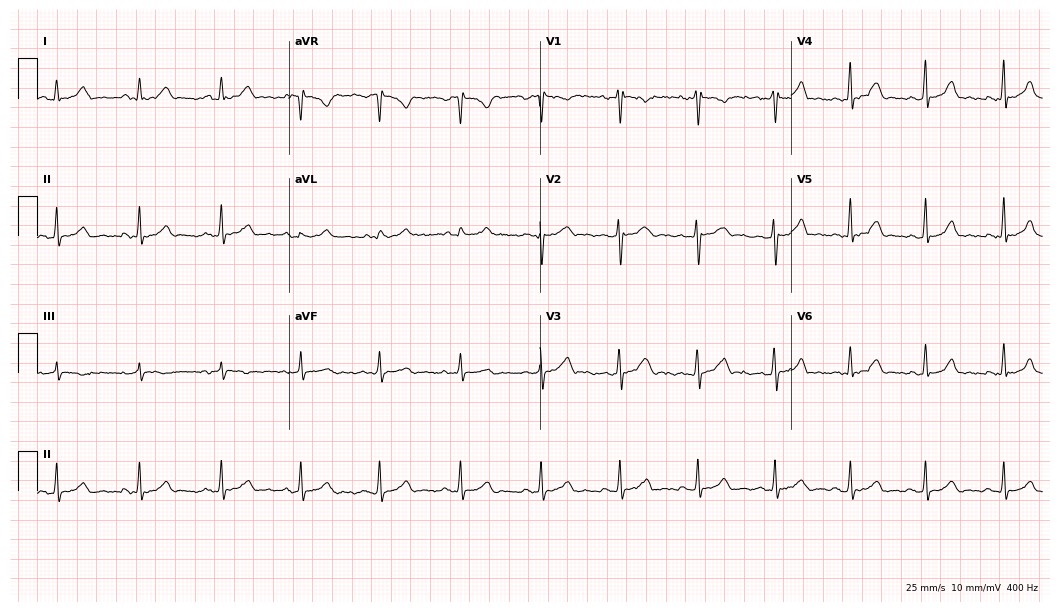
Resting 12-lead electrocardiogram (10.2-second recording at 400 Hz). Patient: a man, 32 years old. Read as a normal ECG.